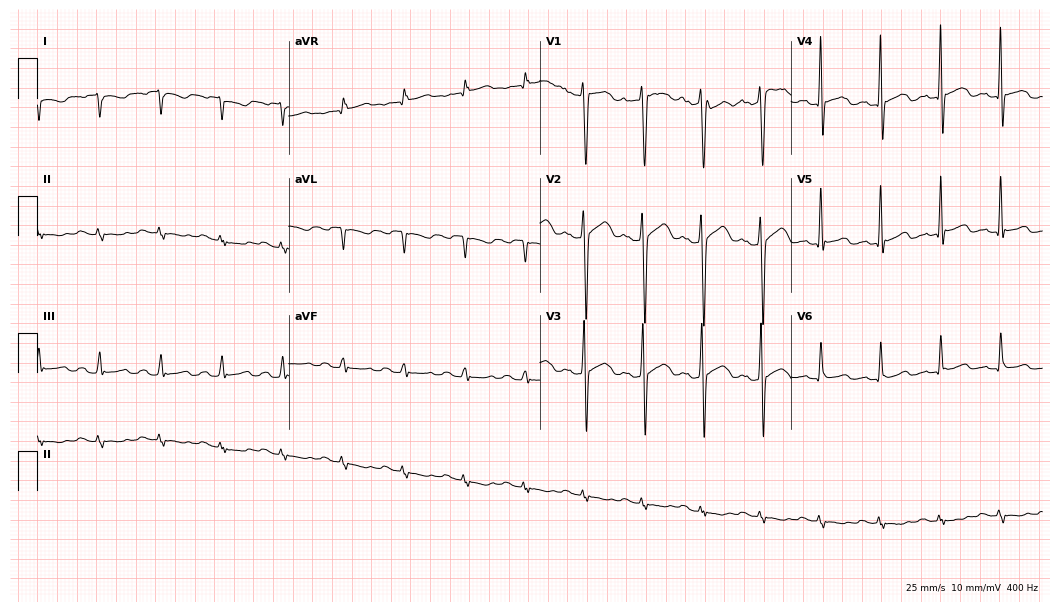
12-lead ECG from a 64-year-old male. Screened for six findings — first-degree AV block, right bundle branch block, left bundle branch block, sinus bradycardia, atrial fibrillation, sinus tachycardia — none is recorded. Findings outside these six are not listed.